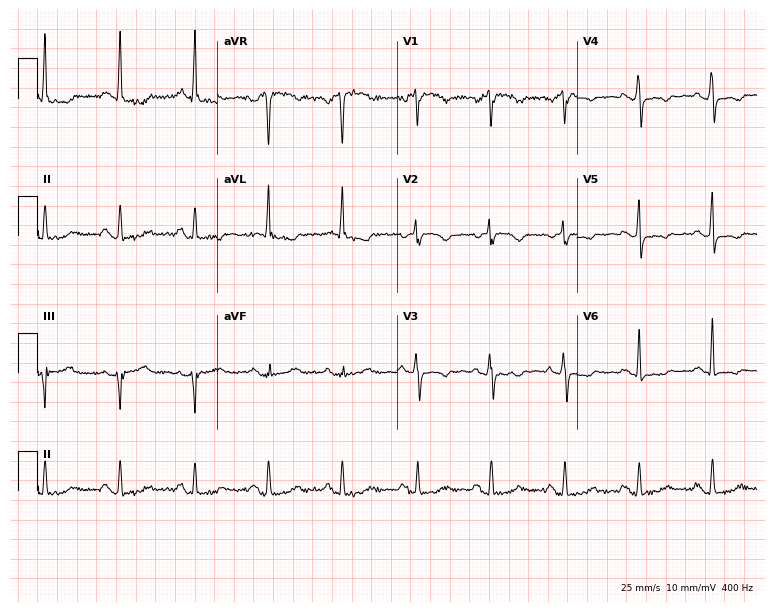
Electrocardiogram, a 70-year-old female. Of the six screened findings (first-degree AV block, right bundle branch block, left bundle branch block, sinus bradycardia, atrial fibrillation, sinus tachycardia), none is recorded. Only these six findings were labelled.